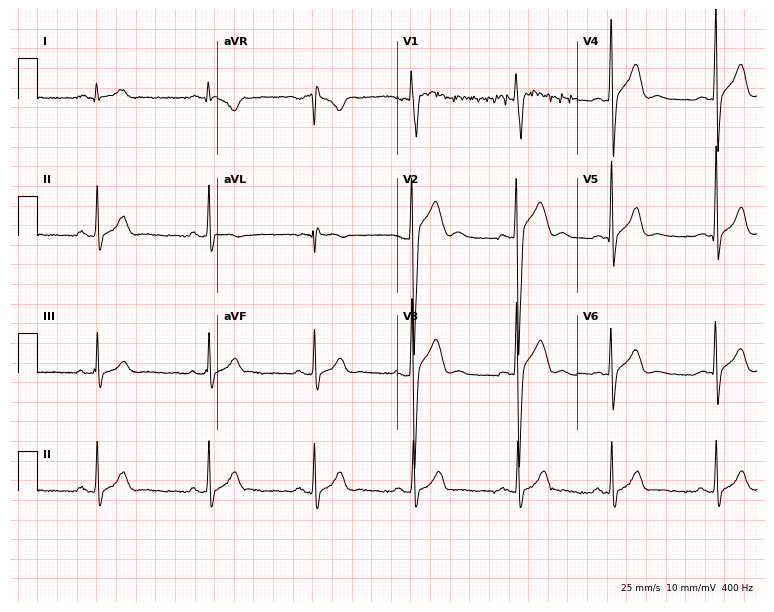
12-lead ECG from a man, 19 years old (7.3-second recording at 400 Hz). Recorded interpretation: within normal limits.